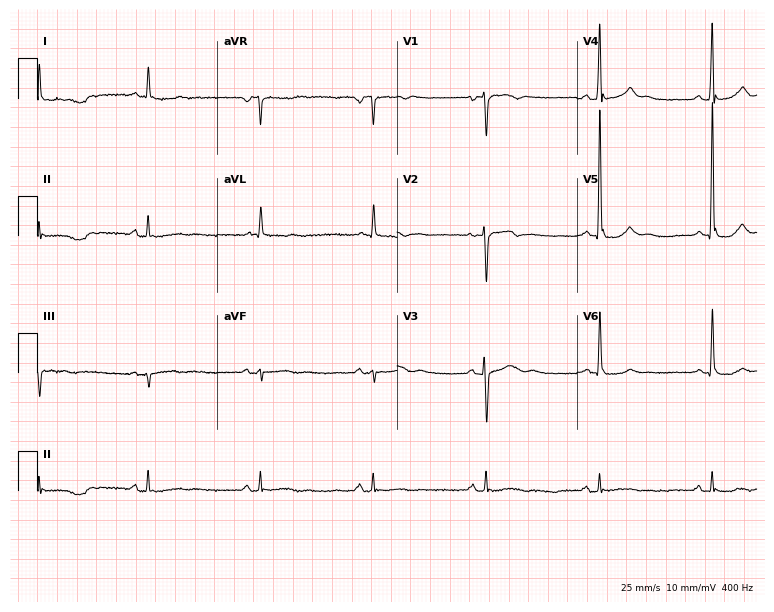
12-lead ECG from a male patient, 74 years old (7.3-second recording at 400 Hz). No first-degree AV block, right bundle branch block, left bundle branch block, sinus bradycardia, atrial fibrillation or sinus tachycardia recorded for this tracing.